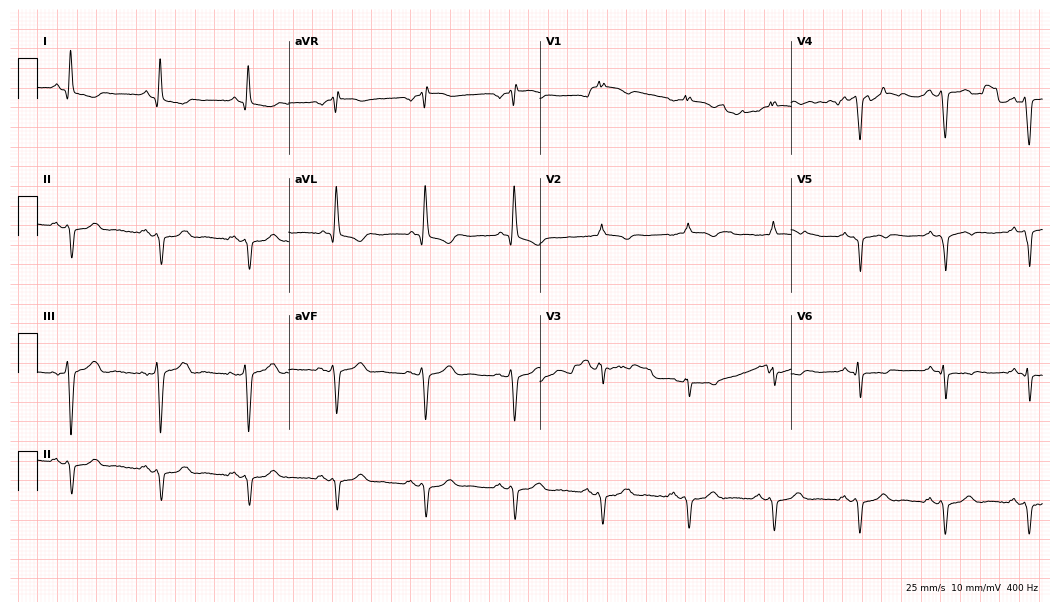
ECG (10.2-second recording at 400 Hz) — a male patient, 74 years old. Screened for six findings — first-degree AV block, right bundle branch block, left bundle branch block, sinus bradycardia, atrial fibrillation, sinus tachycardia — none is recorded. Other findings, if any, are not listed.